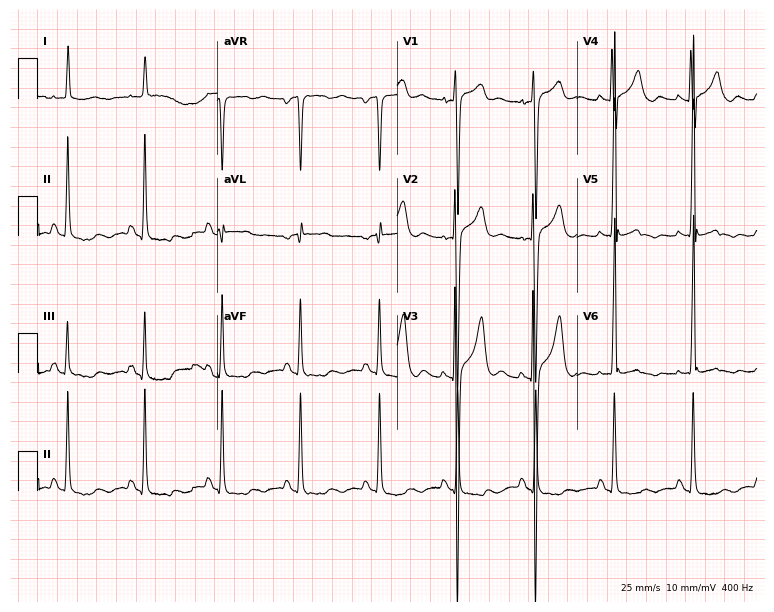
12-lead ECG from a 27-year-old male. Screened for six findings — first-degree AV block, right bundle branch block (RBBB), left bundle branch block (LBBB), sinus bradycardia, atrial fibrillation (AF), sinus tachycardia — none is recorded.